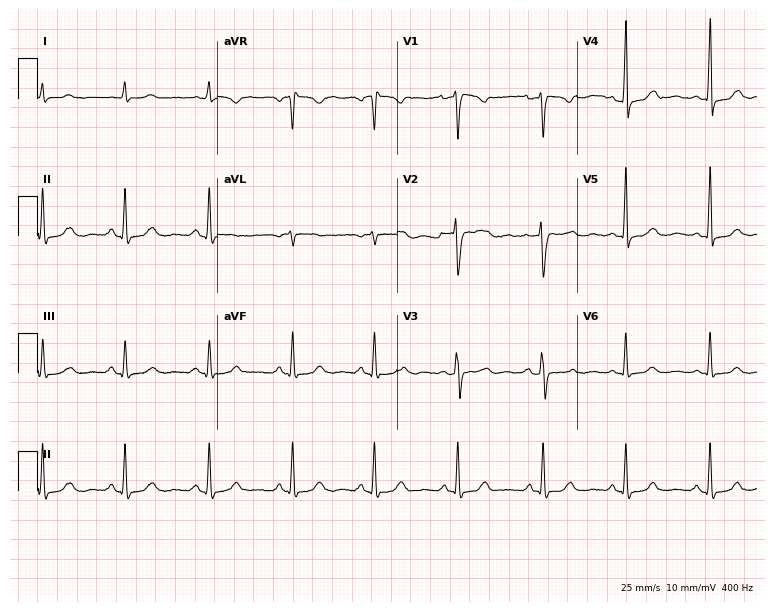
12-lead ECG from a 56-year-old woman (7.3-second recording at 400 Hz). Recorded interpretation: within normal limits.